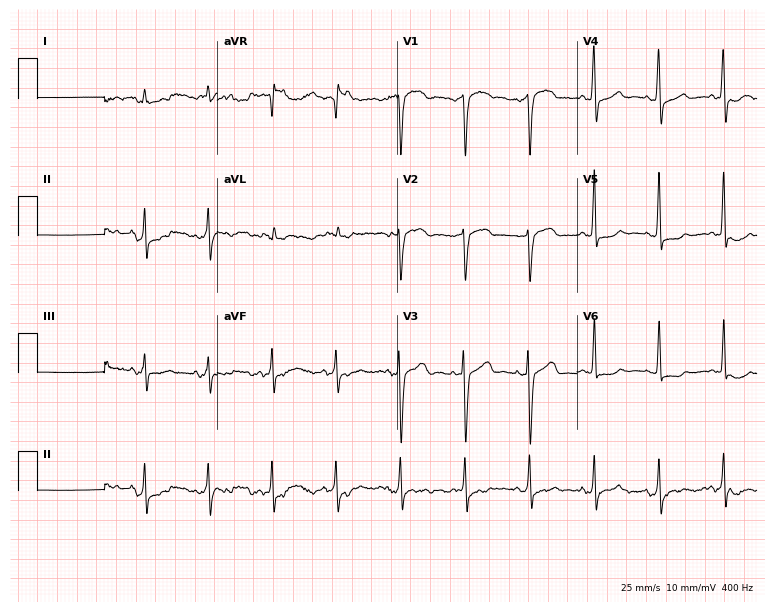
12-lead ECG from a 75-year-old female (7.3-second recording at 400 Hz). No first-degree AV block, right bundle branch block, left bundle branch block, sinus bradycardia, atrial fibrillation or sinus tachycardia recorded for this tracing. Other findings, if any, are not listed.